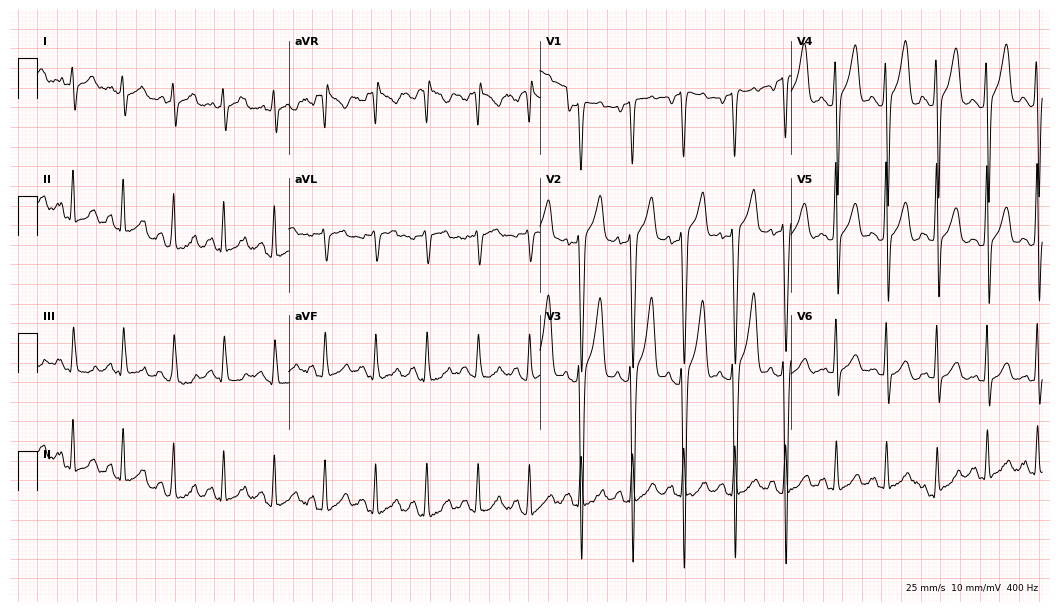
Electrocardiogram (10.2-second recording at 400 Hz), a 39-year-old male patient. Of the six screened findings (first-degree AV block, right bundle branch block (RBBB), left bundle branch block (LBBB), sinus bradycardia, atrial fibrillation (AF), sinus tachycardia), none is recorded.